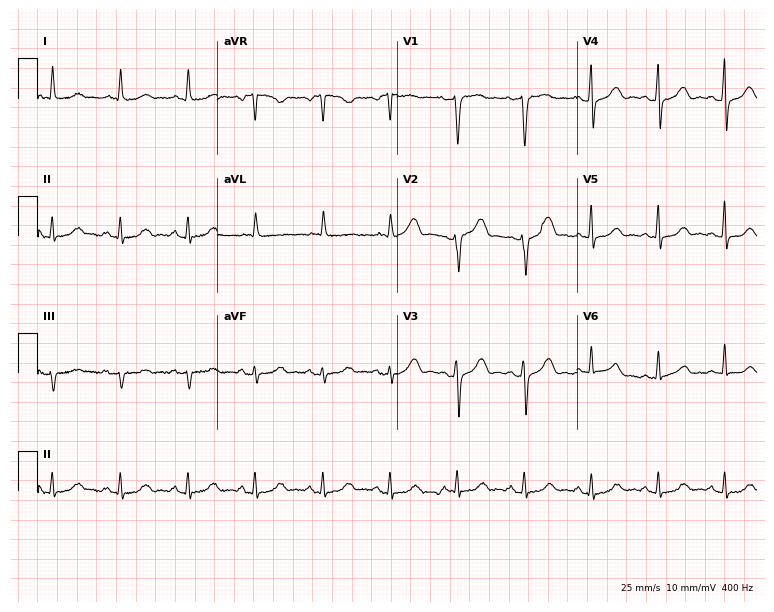
Electrocardiogram (7.3-second recording at 400 Hz), a 48-year-old woman. Overall reading on record: normal ECG.